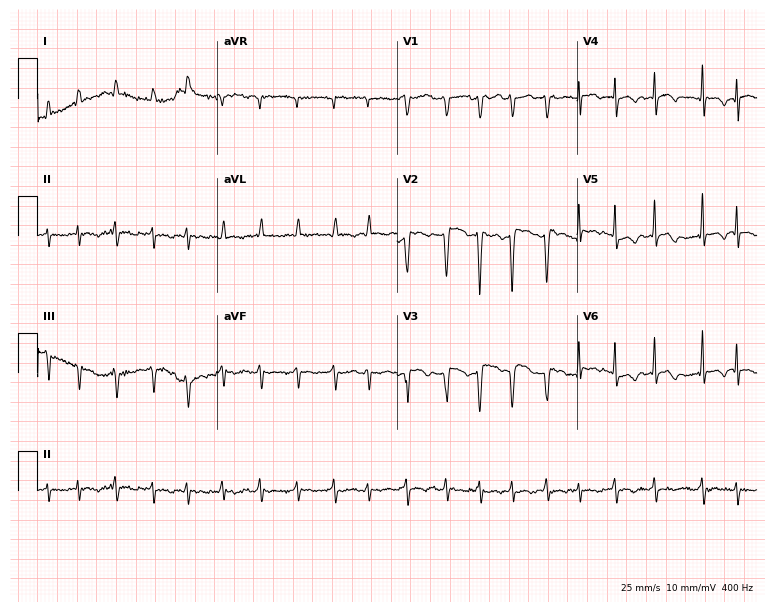
Electrocardiogram (7.3-second recording at 400 Hz), a 65-year-old man. Interpretation includes atrial fibrillation (AF).